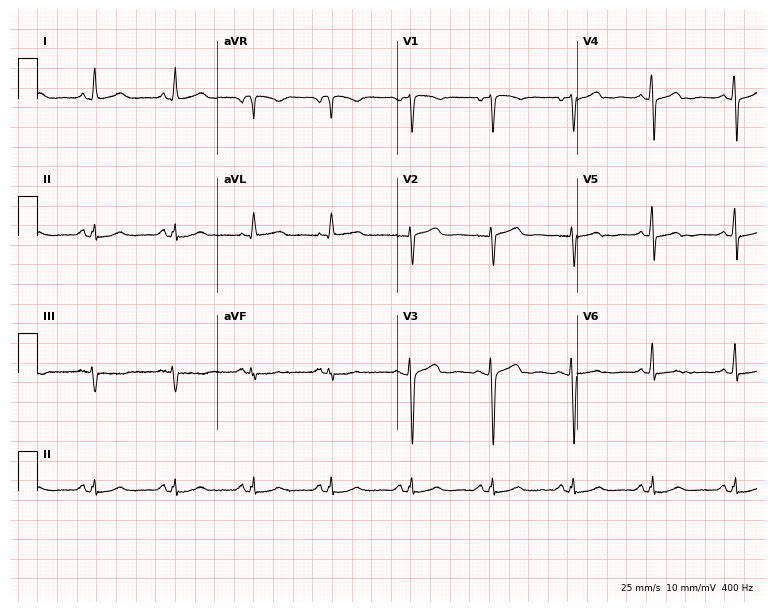
ECG — a woman, 48 years old. Labelled as a normal ECG.